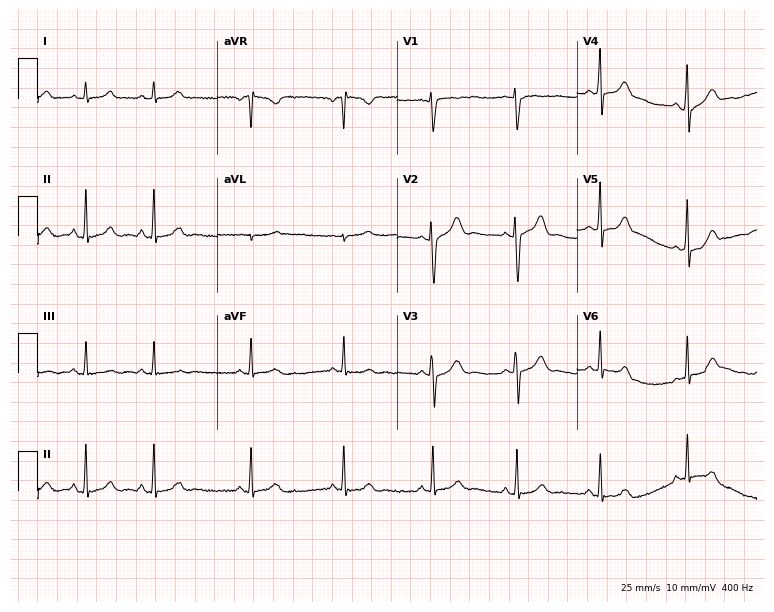
Resting 12-lead electrocardiogram (7.3-second recording at 400 Hz). Patient: a woman, 27 years old. None of these six findings is recorded: first-degree AV block, right bundle branch block, left bundle branch block, sinus bradycardia, atrial fibrillation, sinus tachycardia.